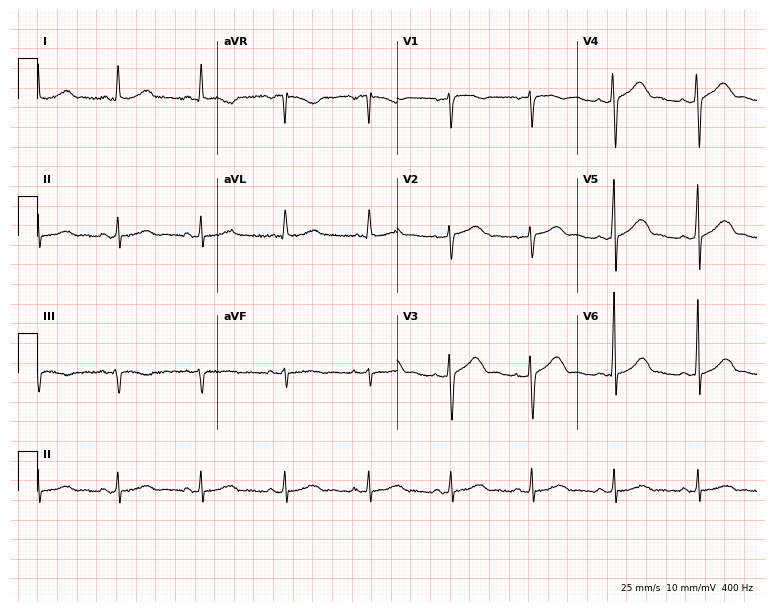
Resting 12-lead electrocardiogram (7.3-second recording at 400 Hz). Patient: a 51-year-old female. None of these six findings is recorded: first-degree AV block, right bundle branch block (RBBB), left bundle branch block (LBBB), sinus bradycardia, atrial fibrillation (AF), sinus tachycardia. Other findings, if any, are not listed.